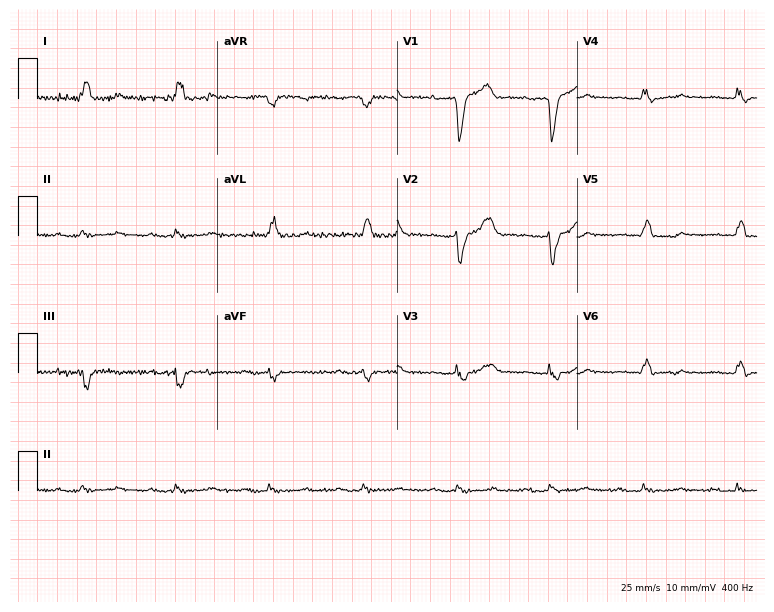
Resting 12-lead electrocardiogram (7.3-second recording at 400 Hz). Patient: a 75-year-old male. The tracing shows first-degree AV block, left bundle branch block.